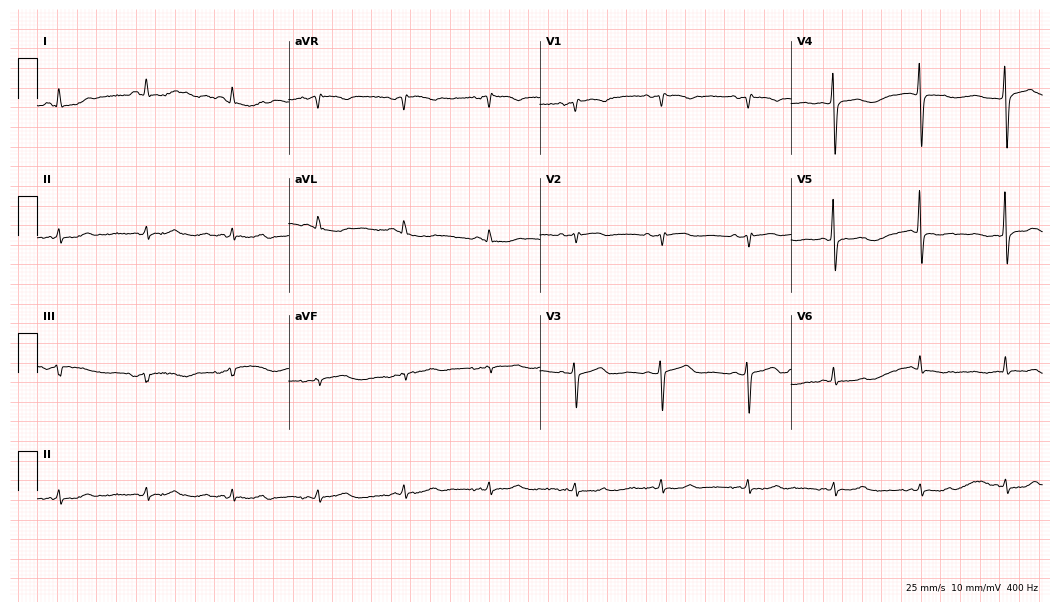
ECG (10.2-second recording at 400 Hz) — a female, 67 years old. Screened for six findings — first-degree AV block, right bundle branch block, left bundle branch block, sinus bradycardia, atrial fibrillation, sinus tachycardia — none is recorded.